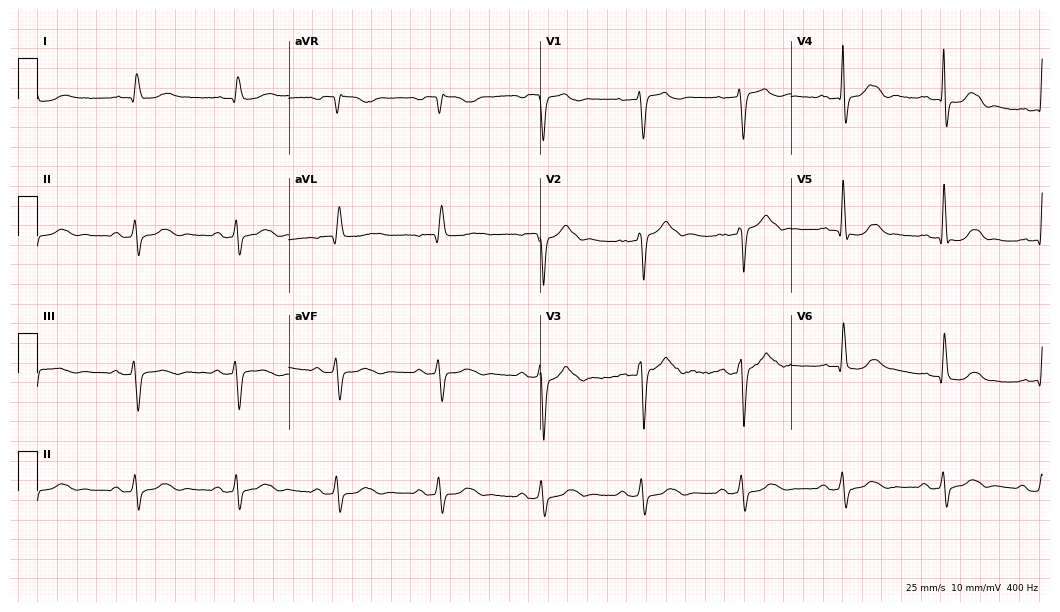
12-lead ECG from a man, 67 years old (10.2-second recording at 400 Hz). No first-degree AV block, right bundle branch block, left bundle branch block, sinus bradycardia, atrial fibrillation or sinus tachycardia recorded for this tracing.